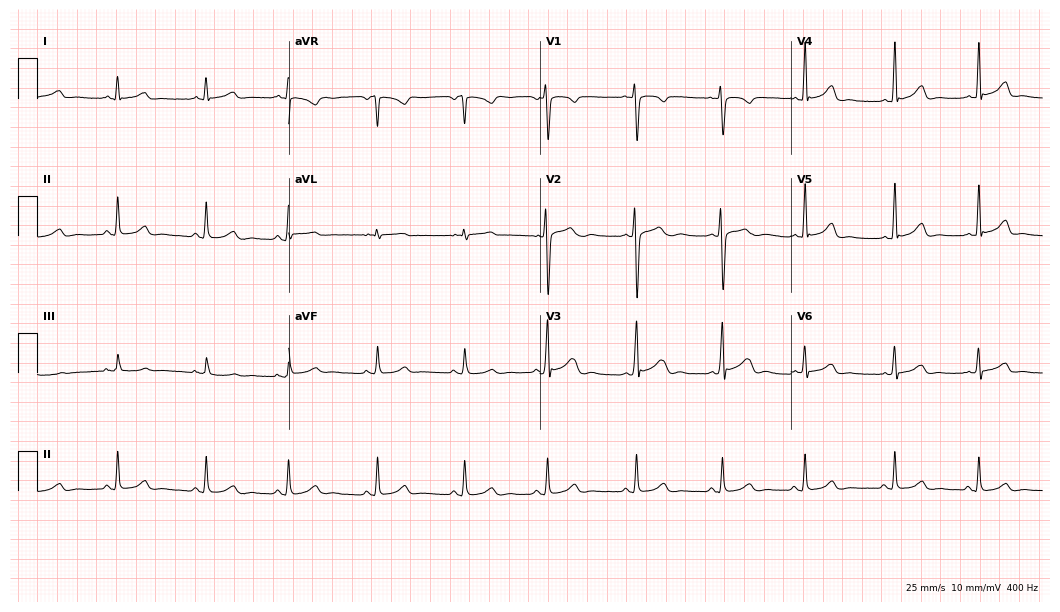
Standard 12-lead ECG recorded from a 32-year-old woman (10.2-second recording at 400 Hz). Read as a normal ECG.